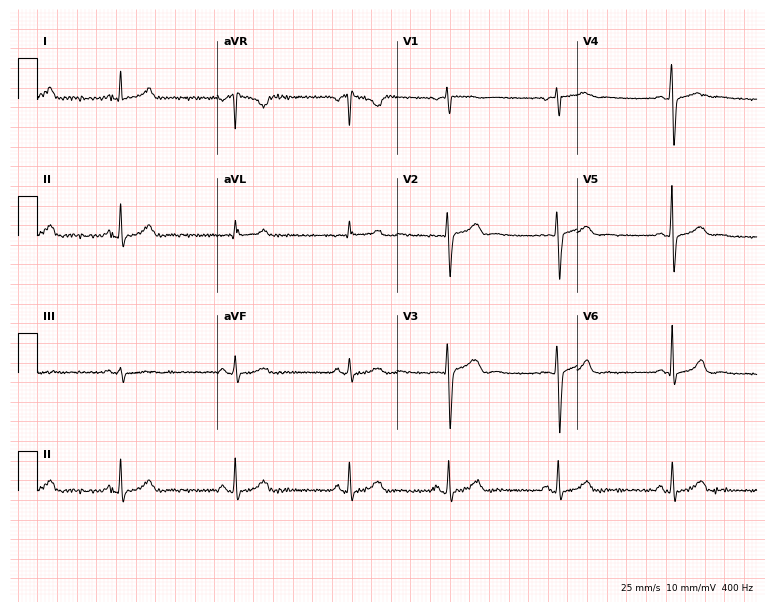
Standard 12-lead ECG recorded from a 30-year-old female. Read as a normal ECG.